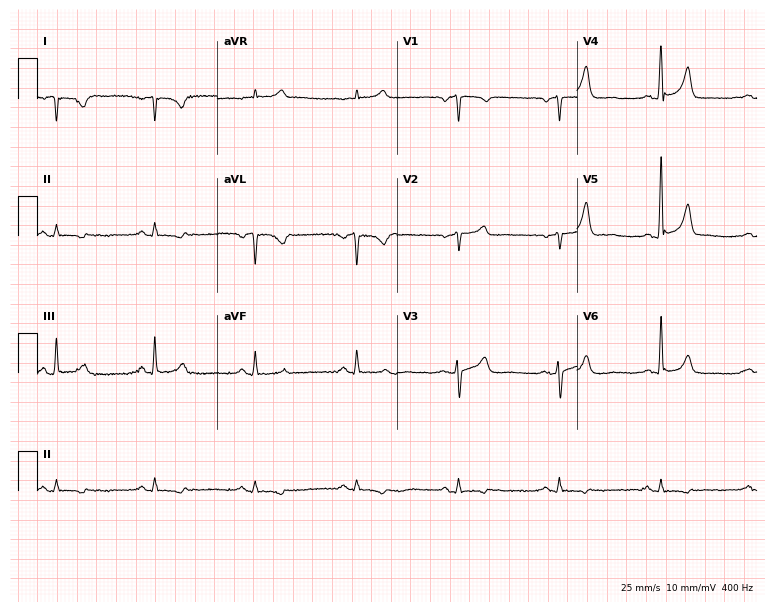
Standard 12-lead ECG recorded from a male, 72 years old (7.3-second recording at 400 Hz). None of these six findings is recorded: first-degree AV block, right bundle branch block (RBBB), left bundle branch block (LBBB), sinus bradycardia, atrial fibrillation (AF), sinus tachycardia. Only these six findings were labelled.